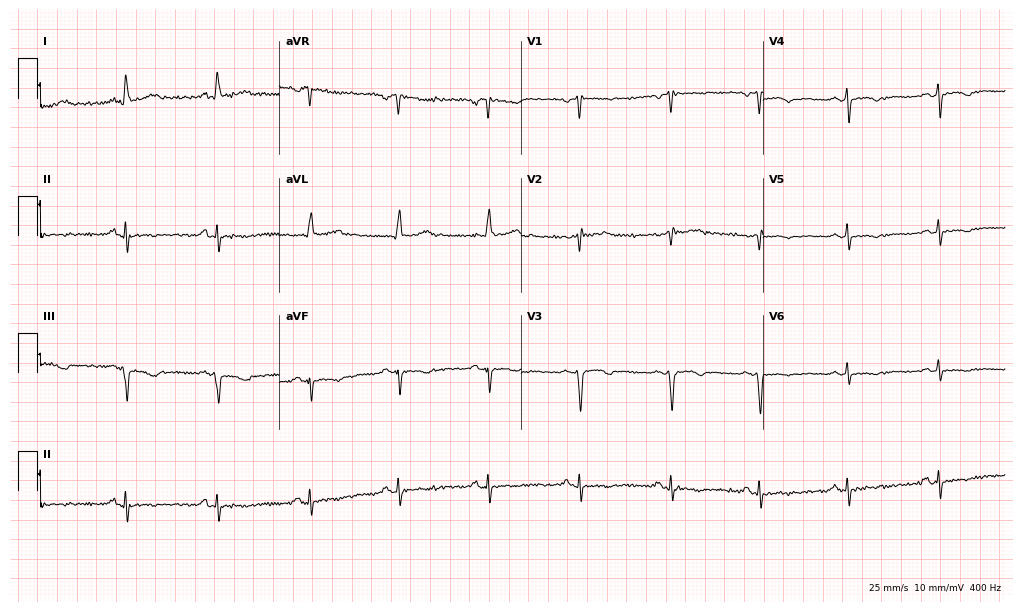
Resting 12-lead electrocardiogram. Patient: a 62-year-old female. None of these six findings is recorded: first-degree AV block, right bundle branch block, left bundle branch block, sinus bradycardia, atrial fibrillation, sinus tachycardia. Other findings, if any, are not listed.